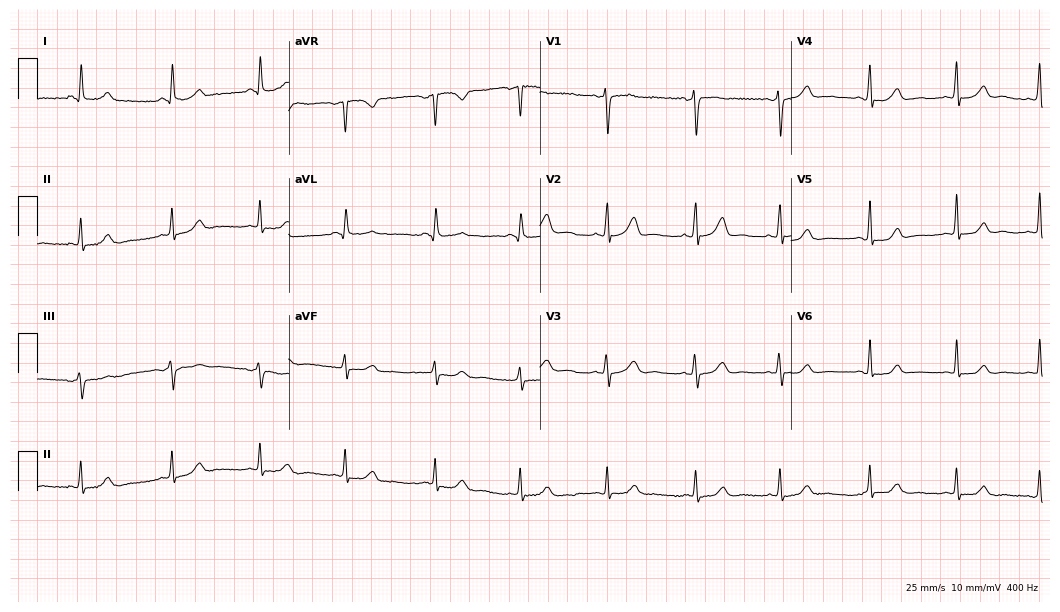
ECG (10.2-second recording at 400 Hz) — a woman, 45 years old. Labelled as a normal ECG.